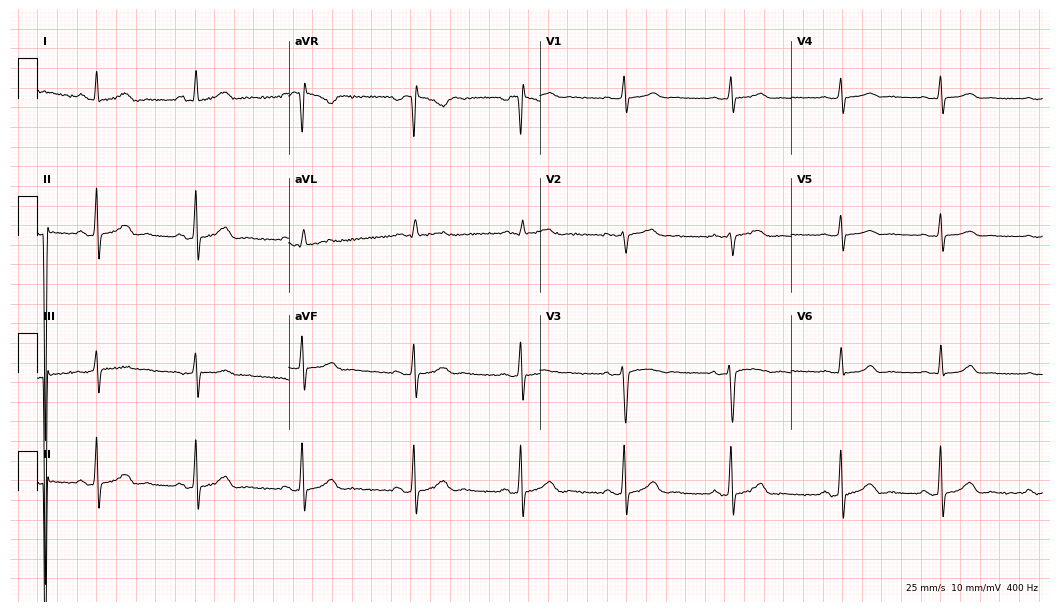
Electrocardiogram (10.2-second recording at 400 Hz), a 50-year-old woman. Overall reading on record: normal ECG.